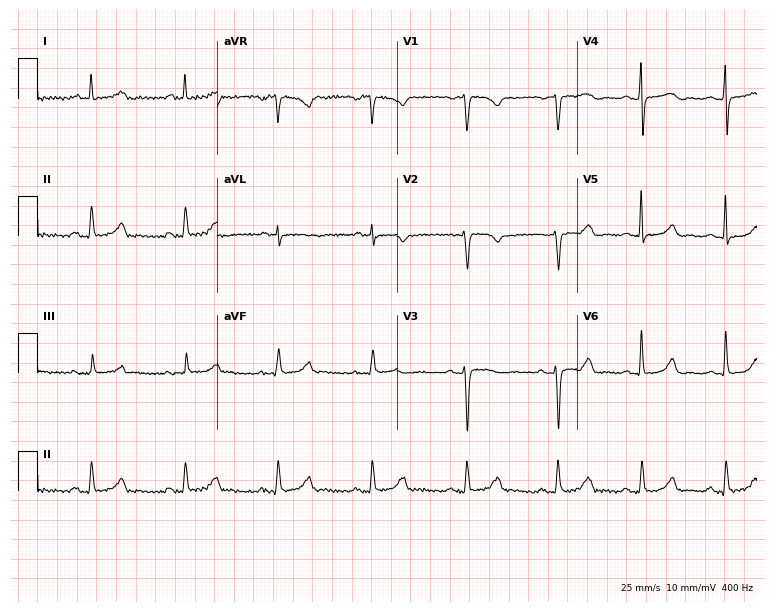
12-lead ECG from a woman, 34 years old (7.3-second recording at 400 Hz). No first-degree AV block, right bundle branch block, left bundle branch block, sinus bradycardia, atrial fibrillation or sinus tachycardia recorded for this tracing. Only these six findings were labelled.